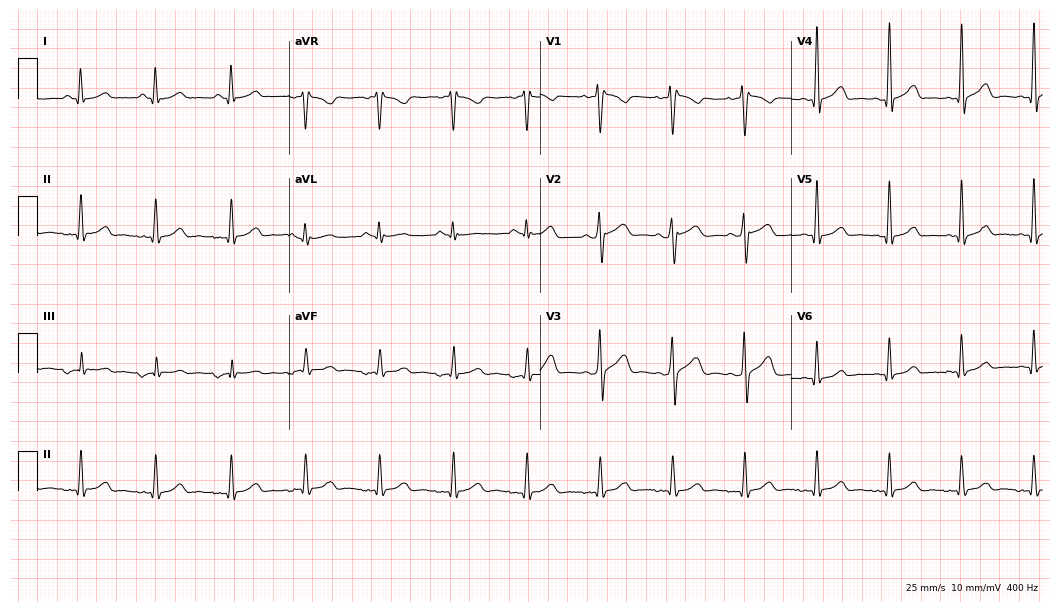
Standard 12-lead ECG recorded from a male, 53 years old (10.2-second recording at 400 Hz). None of these six findings is recorded: first-degree AV block, right bundle branch block, left bundle branch block, sinus bradycardia, atrial fibrillation, sinus tachycardia. Findings outside these six are not listed.